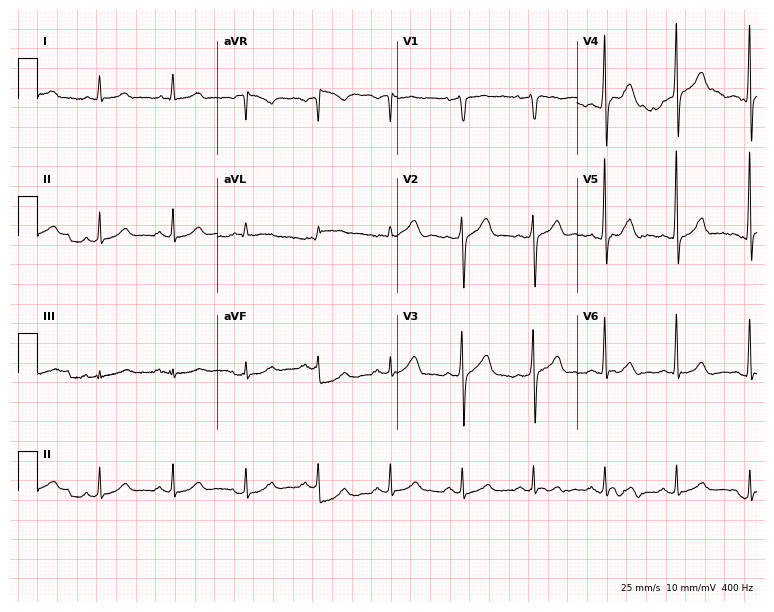
12-lead ECG from a male, 62 years old (7.3-second recording at 400 Hz). No first-degree AV block, right bundle branch block, left bundle branch block, sinus bradycardia, atrial fibrillation or sinus tachycardia recorded for this tracing. Findings outside these six are not listed.